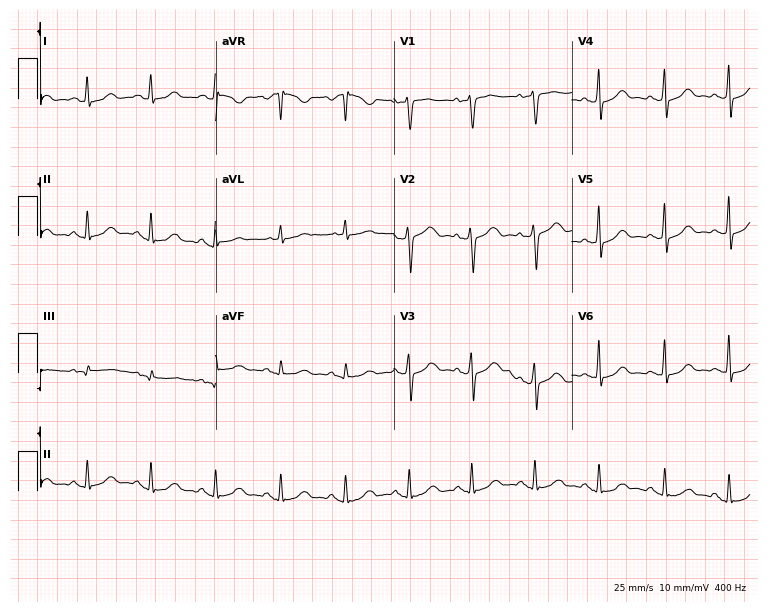
Standard 12-lead ECG recorded from a 58-year-old woman. None of these six findings is recorded: first-degree AV block, right bundle branch block, left bundle branch block, sinus bradycardia, atrial fibrillation, sinus tachycardia.